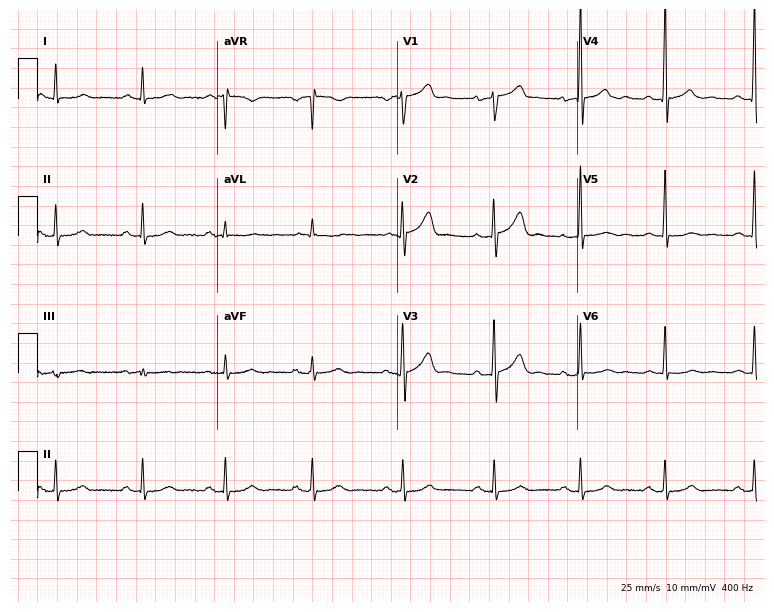
Resting 12-lead electrocardiogram. Patient: a male, 66 years old. Read as a normal ECG.